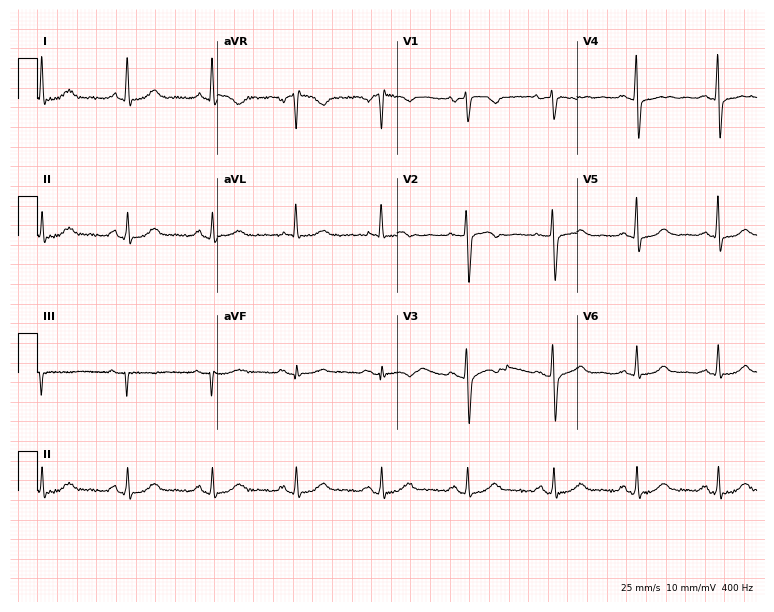
12-lead ECG (7.3-second recording at 400 Hz) from a 65-year-old female. Screened for six findings — first-degree AV block, right bundle branch block, left bundle branch block, sinus bradycardia, atrial fibrillation, sinus tachycardia — none is recorded. Findings outside these six are not listed.